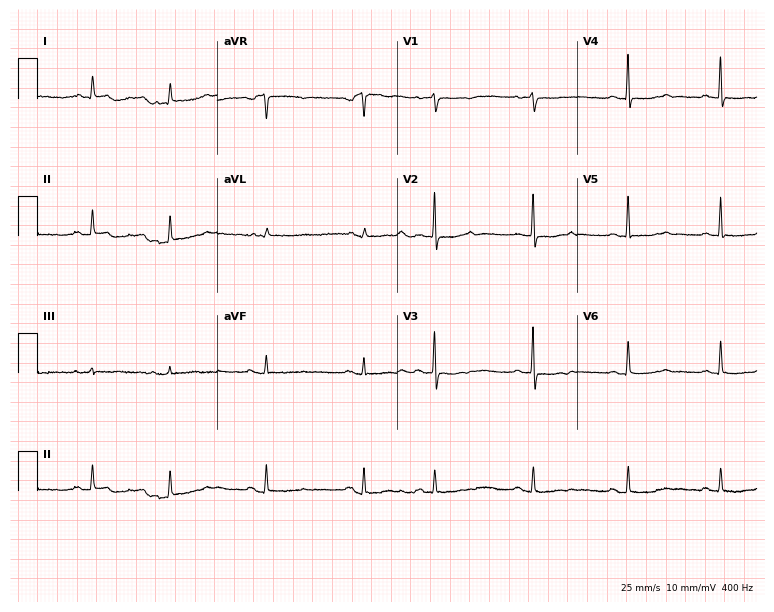
12-lead ECG from an 85-year-old female patient. Labelled as a normal ECG.